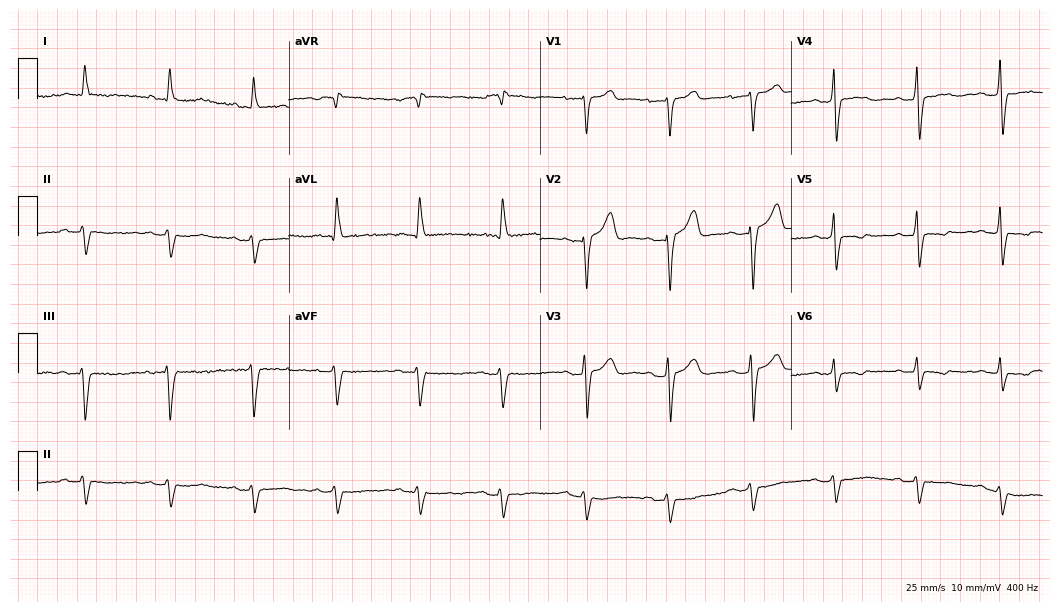
Electrocardiogram, a 68-year-old male patient. Of the six screened findings (first-degree AV block, right bundle branch block, left bundle branch block, sinus bradycardia, atrial fibrillation, sinus tachycardia), none is recorded.